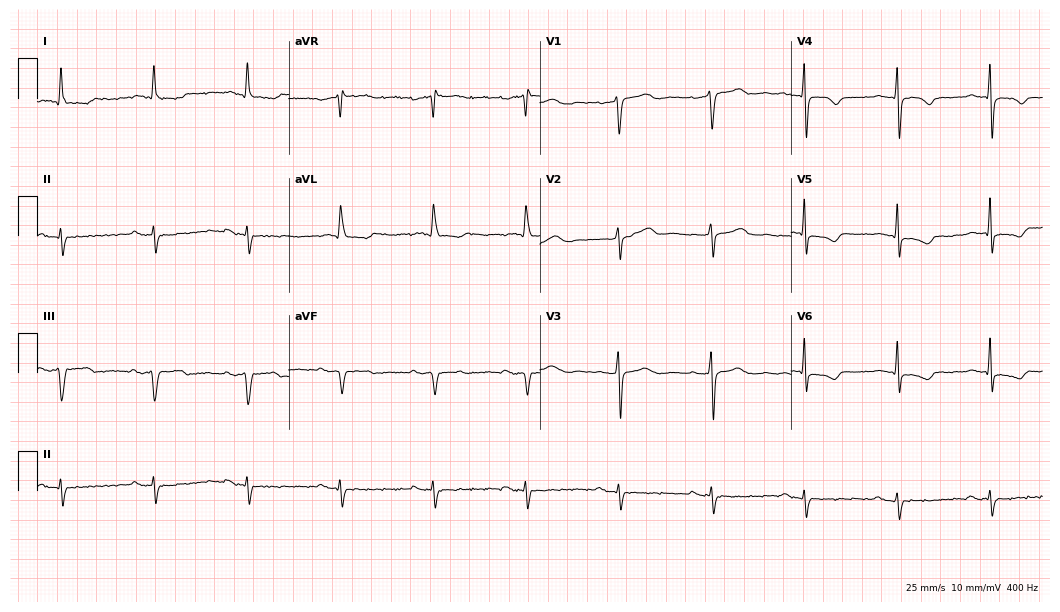
Electrocardiogram, a woman, 68 years old. Of the six screened findings (first-degree AV block, right bundle branch block, left bundle branch block, sinus bradycardia, atrial fibrillation, sinus tachycardia), none is recorded. Only these six findings were labelled.